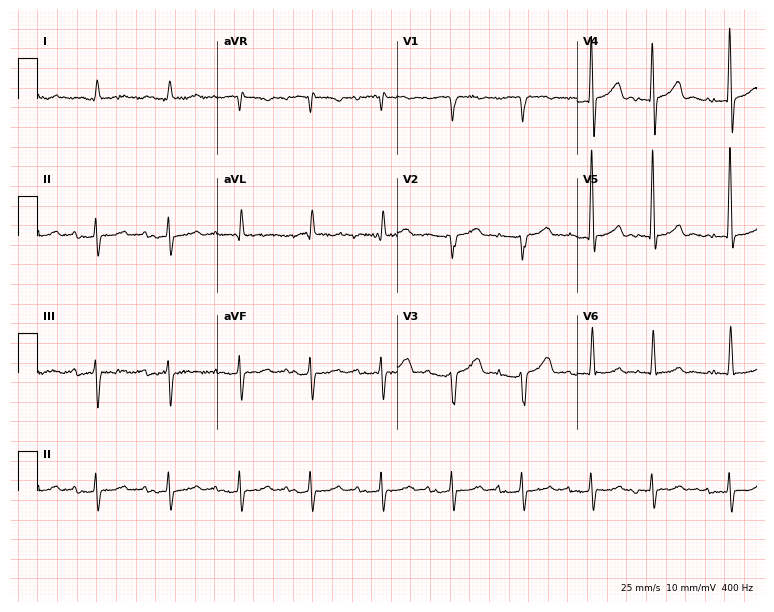
Electrocardiogram, a man, 71 years old. Of the six screened findings (first-degree AV block, right bundle branch block, left bundle branch block, sinus bradycardia, atrial fibrillation, sinus tachycardia), none is recorded.